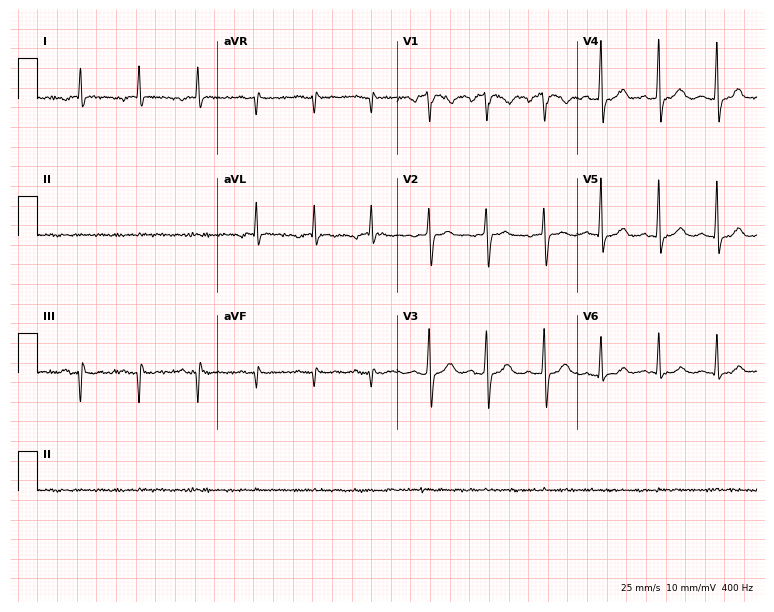
Electrocardiogram, an 82-year-old man. Of the six screened findings (first-degree AV block, right bundle branch block (RBBB), left bundle branch block (LBBB), sinus bradycardia, atrial fibrillation (AF), sinus tachycardia), none is recorded.